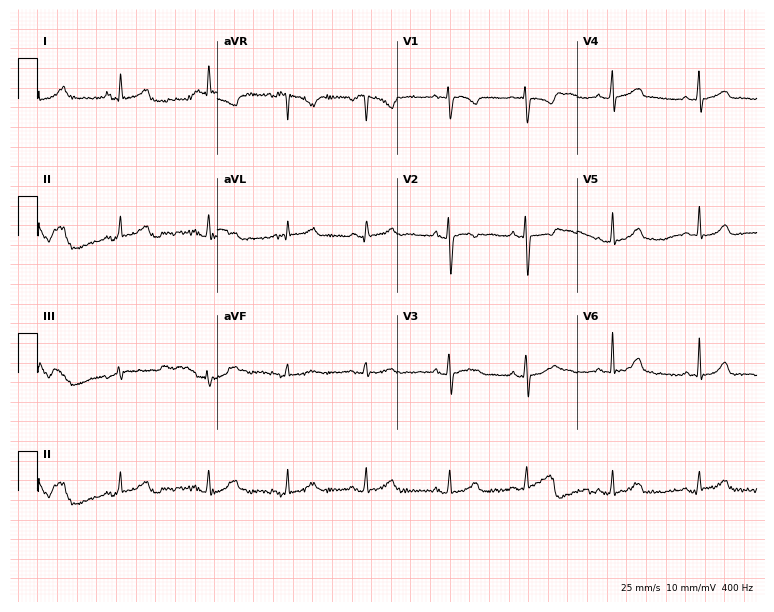
Standard 12-lead ECG recorded from a female patient, 30 years old (7.3-second recording at 400 Hz). Read as a normal ECG.